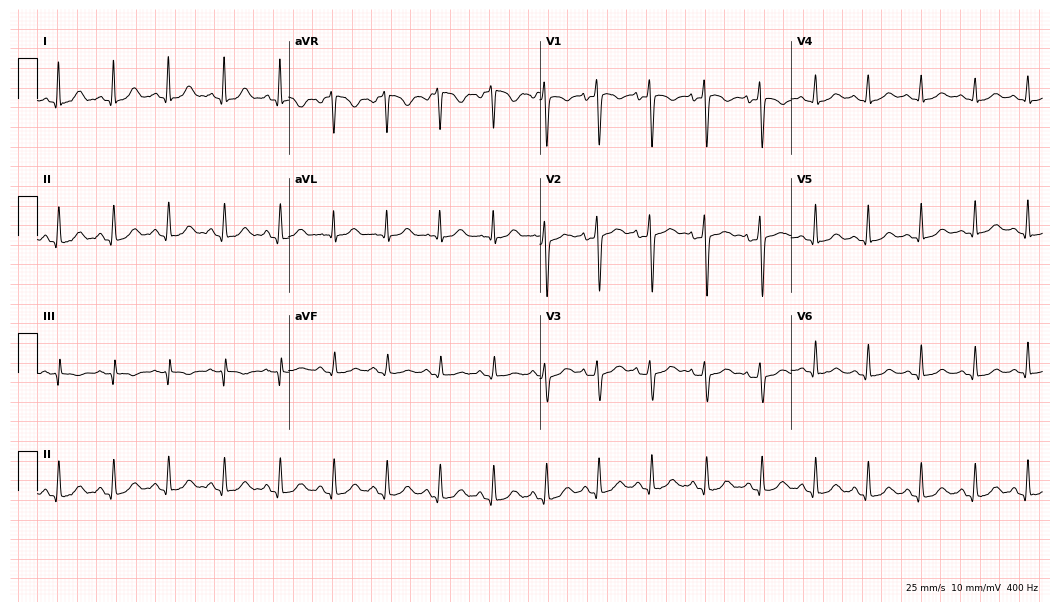
Electrocardiogram (10.2-second recording at 400 Hz), a woman, 34 years old. Of the six screened findings (first-degree AV block, right bundle branch block (RBBB), left bundle branch block (LBBB), sinus bradycardia, atrial fibrillation (AF), sinus tachycardia), none is recorded. Findings outside these six are not listed.